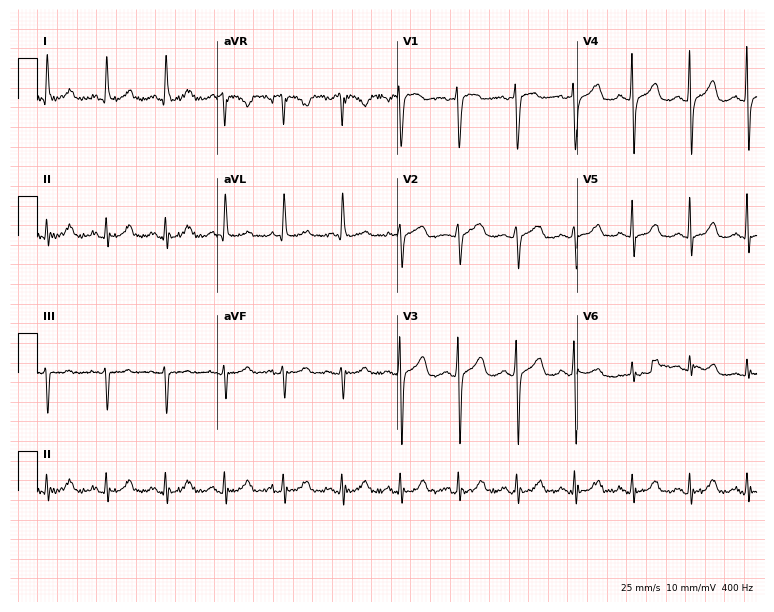
12-lead ECG from an 80-year-old female patient. Labelled as a normal ECG.